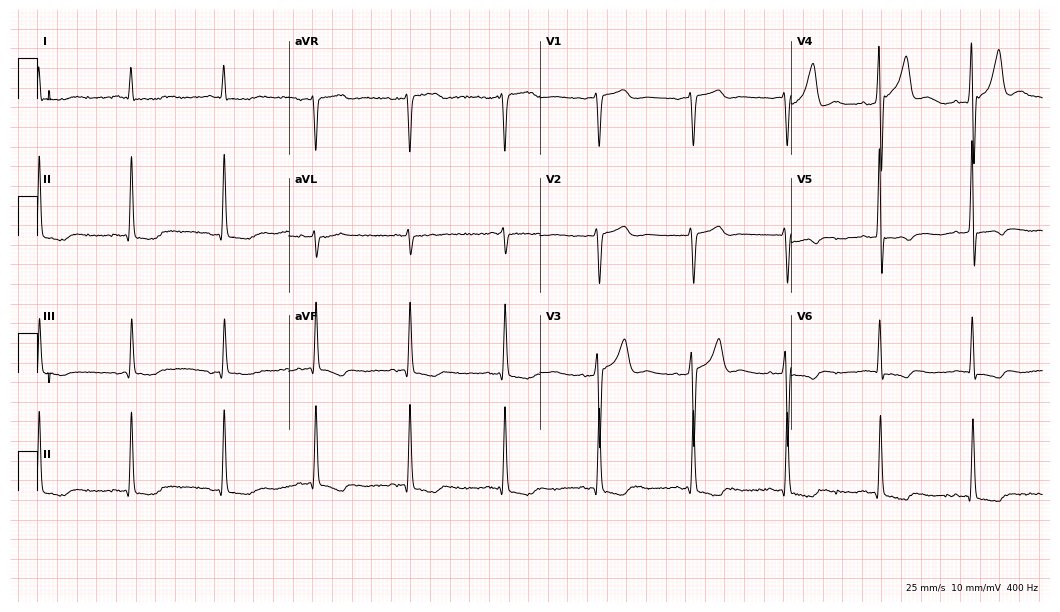
Electrocardiogram (10.2-second recording at 400 Hz), an 84-year-old male patient. Of the six screened findings (first-degree AV block, right bundle branch block, left bundle branch block, sinus bradycardia, atrial fibrillation, sinus tachycardia), none is recorded. Other findings, if any, are not listed.